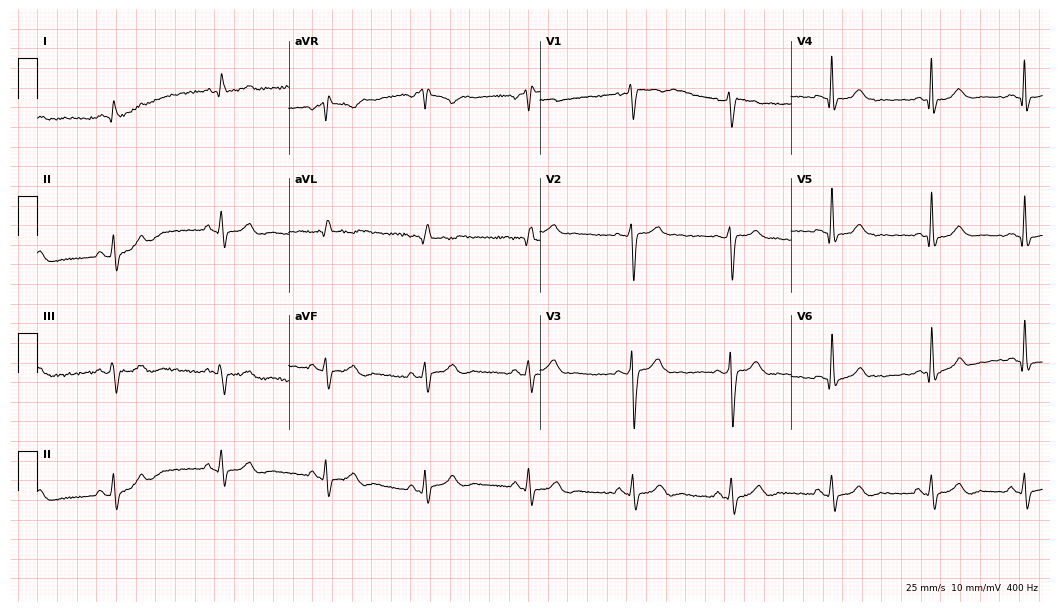
Standard 12-lead ECG recorded from a 46-year-old female (10.2-second recording at 400 Hz). None of these six findings is recorded: first-degree AV block, right bundle branch block, left bundle branch block, sinus bradycardia, atrial fibrillation, sinus tachycardia.